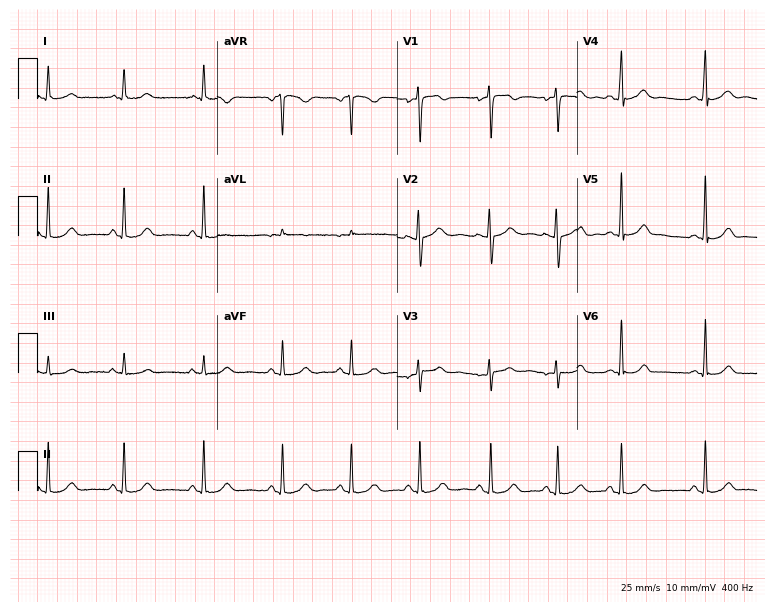
Electrocardiogram, a female, 21 years old. Overall reading on record: normal ECG.